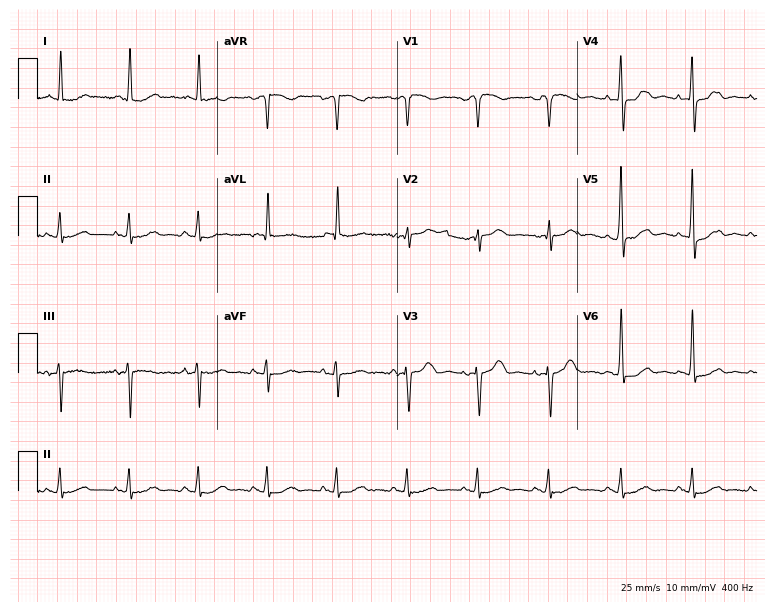
ECG — an 84-year-old male. Labelled as a normal ECG.